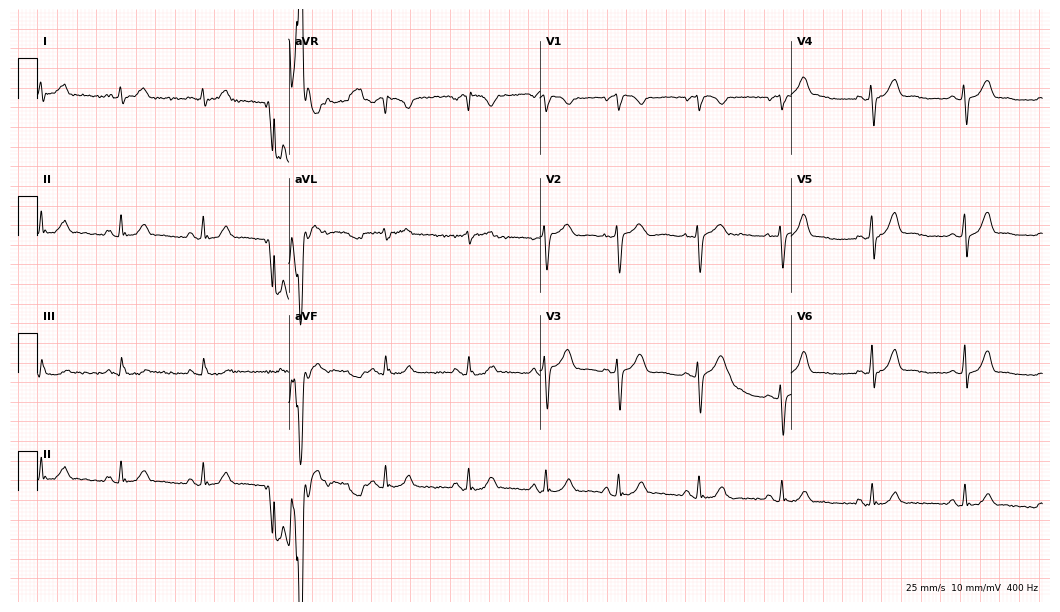
Electrocardiogram, a 29-year-old female. Of the six screened findings (first-degree AV block, right bundle branch block, left bundle branch block, sinus bradycardia, atrial fibrillation, sinus tachycardia), none is recorded.